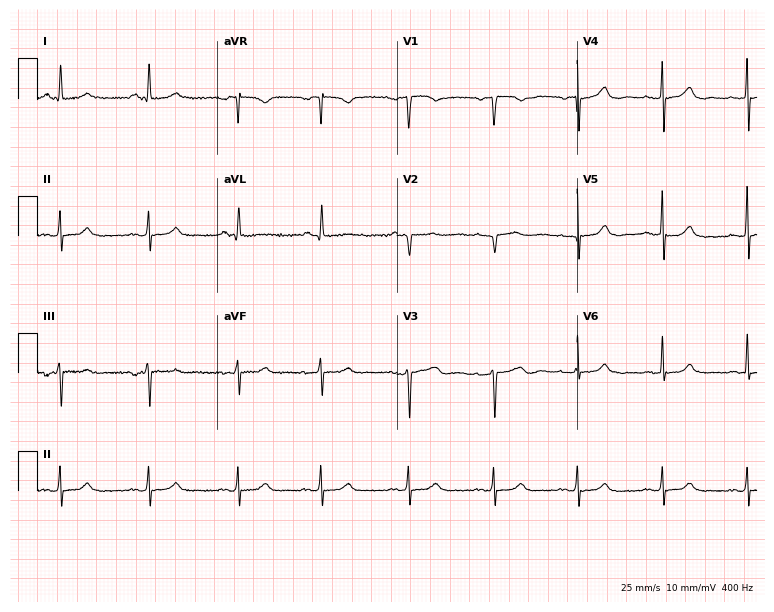
Electrocardiogram (7.3-second recording at 400 Hz), a woman, 49 years old. Of the six screened findings (first-degree AV block, right bundle branch block, left bundle branch block, sinus bradycardia, atrial fibrillation, sinus tachycardia), none is recorded. Other findings, if any, are not listed.